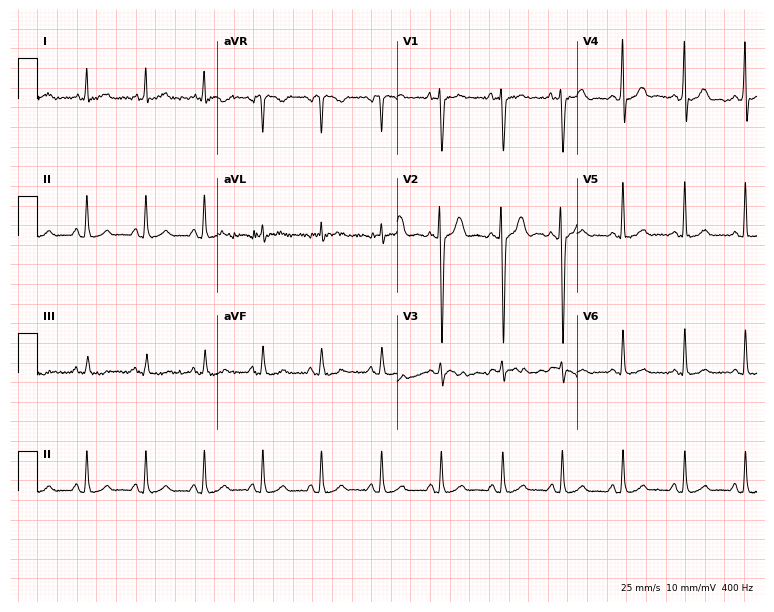
Standard 12-lead ECG recorded from a male patient, 20 years old. None of these six findings is recorded: first-degree AV block, right bundle branch block, left bundle branch block, sinus bradycardia, atrial fibrillation, sinus tachycardia.